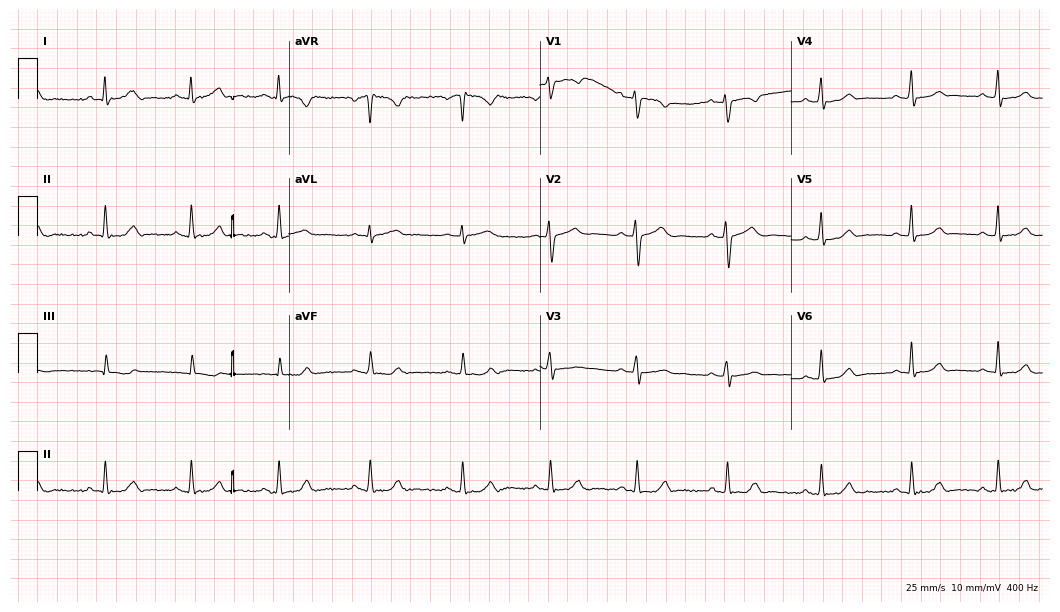
12-lead ECG from a female, 29 years old. Screened for six findings — first-degree AV block, right bundle branch block, left bundle branch block, sinus bradycardia, atrial fibrillation, sinus tachycardia — none is recorded.